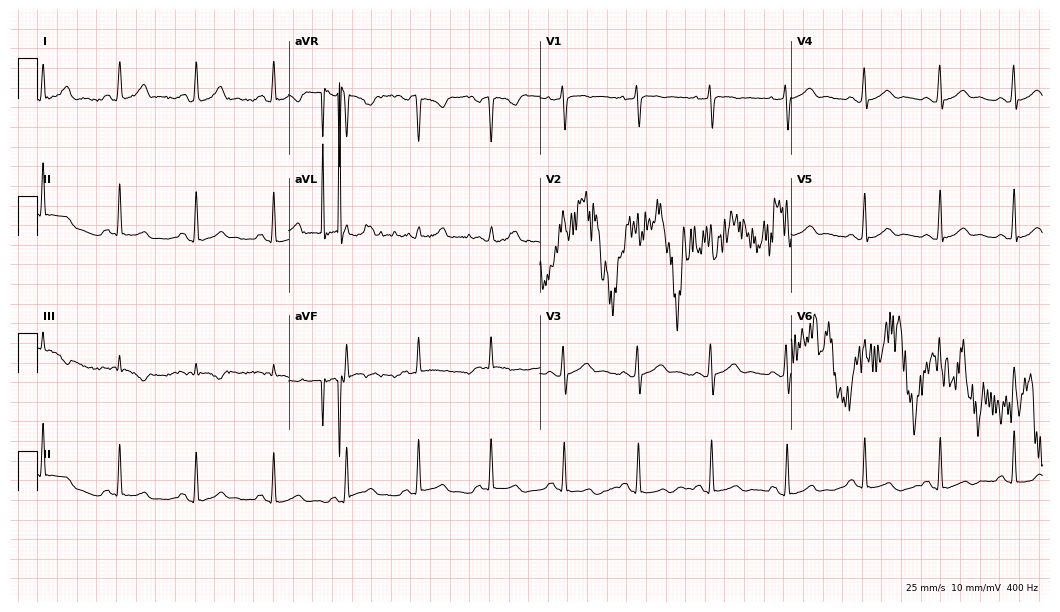
ECG — a female patient, 35 years old. Labelled as a normal ECG.